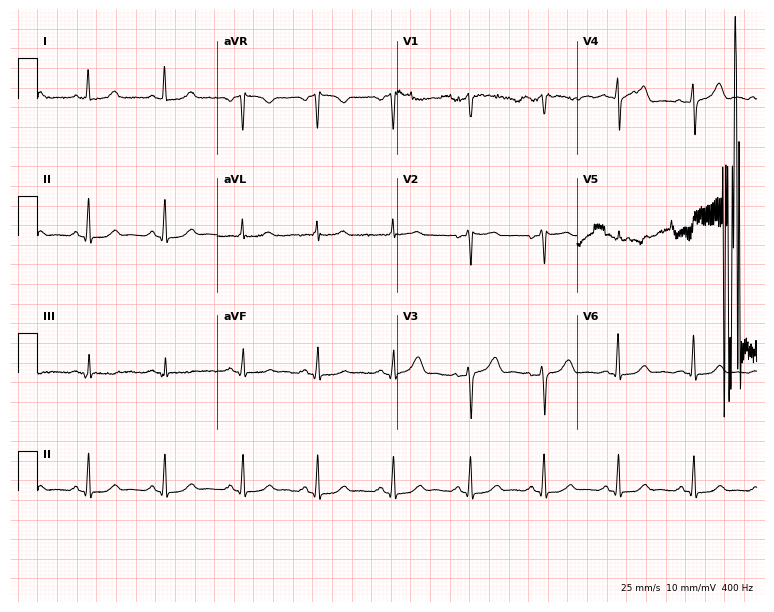
12-lead ECG from a 41-year-old female. Screened for six findings — first-degree AV block, right bundle branch block, left bundle branch block, sinus bradycardia, atrial fibrillation, sinus tachycardia — none is recorded. Findings outside these six are not listed.